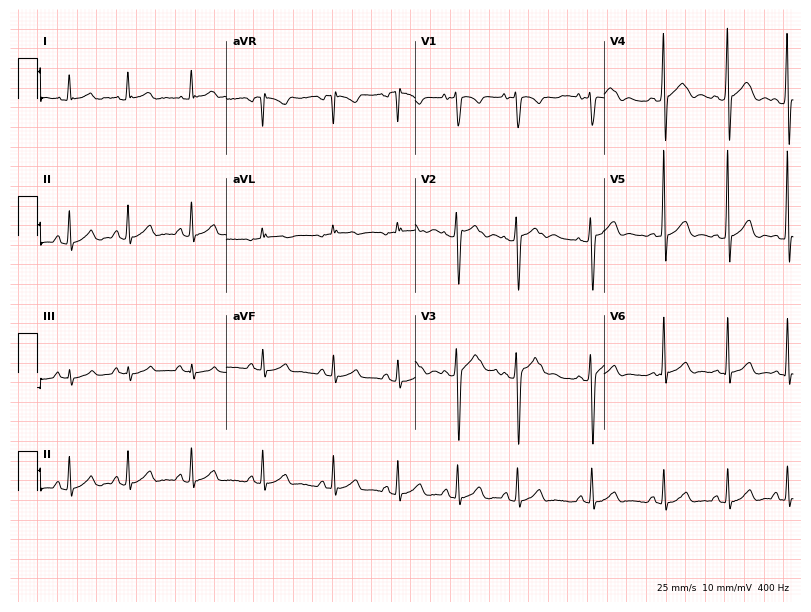
Standard 12-lead ECG recorded from a 26-year-old man (7.7-second recording at 400 Hz). None of these six findings is recorded: first-degree AV block, right bundle branch block, left bundle branch block, sinus bradycardia, atrial fibrillation, sinus tachycardia.